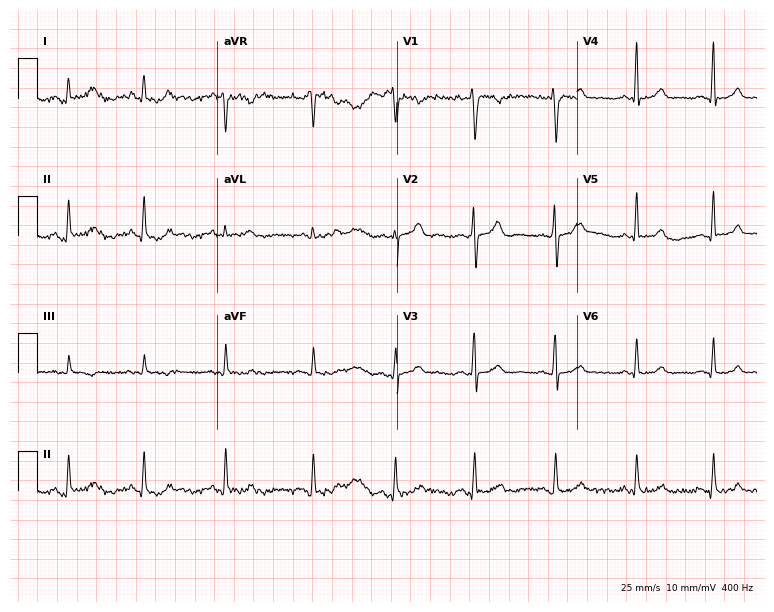
Electrocardiogram (7.3-second recording at 400 Hz), a female, 36 years old. Overall reading on record: normal ECG.